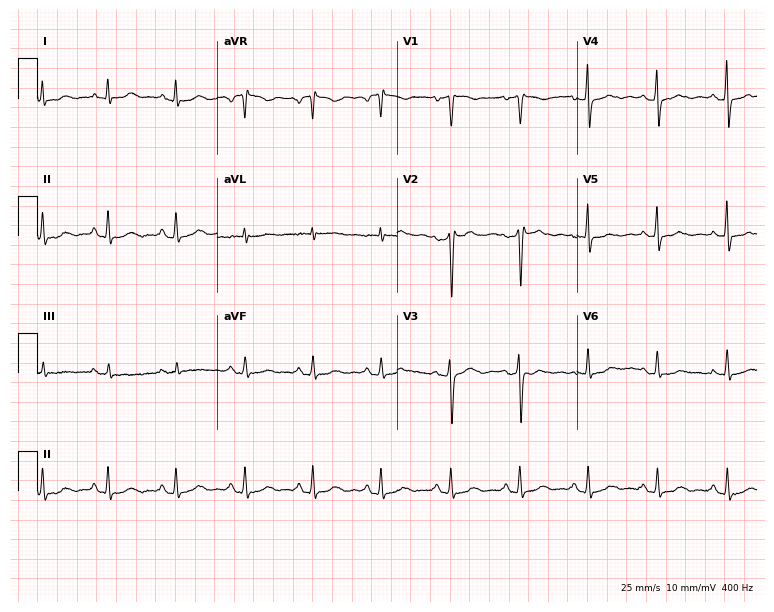
ECG — a 52-year-old woman. Labelled as a normal ECG.